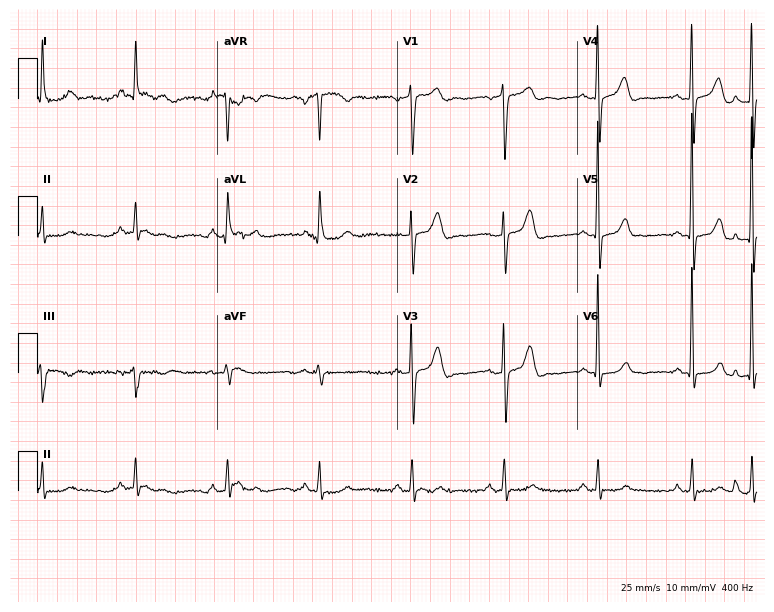
Resting 12-lead electrocardiogram (7.3-second recording at 400 Hz). Patient: a man, 75 years old. Read as a normal ECG.